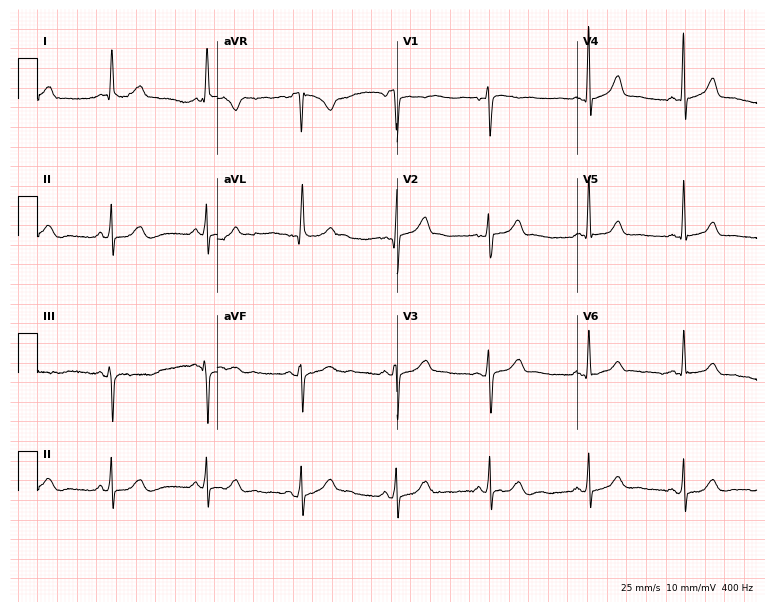
12-lead ECG from a female patient, 70 years old. Labelled as a normal ECG.